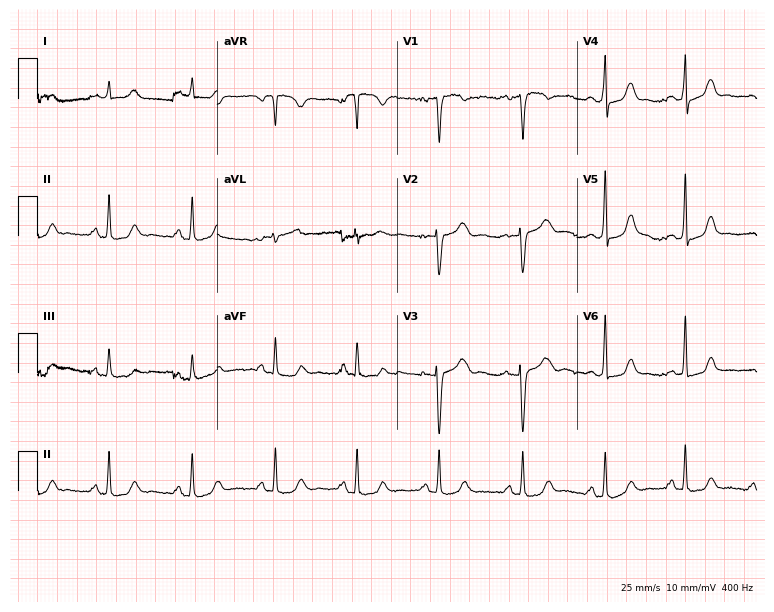
12-lead ECG from a 48-year-old female. Labelled as a normal ECG.